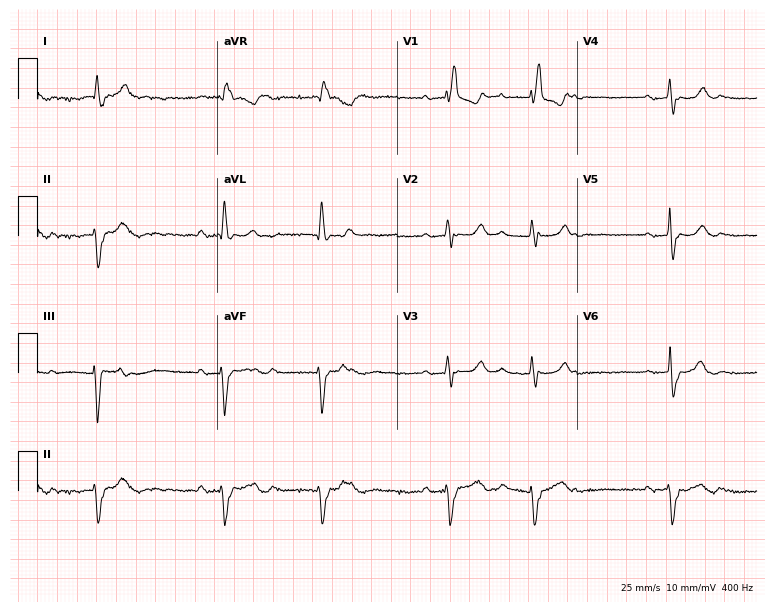
Electrocardiogram, an 81-year-old man. Interpretation includes first-degree AV block, right bundle branch block (RBBB).